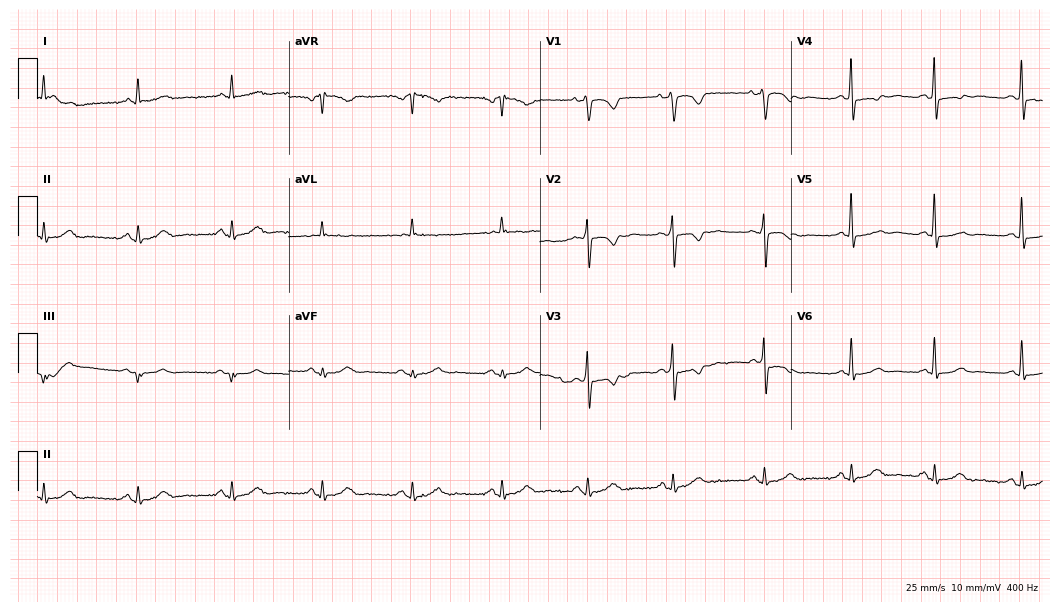
12-lead ECG from a man, 68 years old. Screened for six findings — first-degree AV block, right bundle branch block (RBBB), left bundle branch block (LBBB), sinus bradycardia, atrial fibrillation (AF), sinus tachycardia — none is recorded.